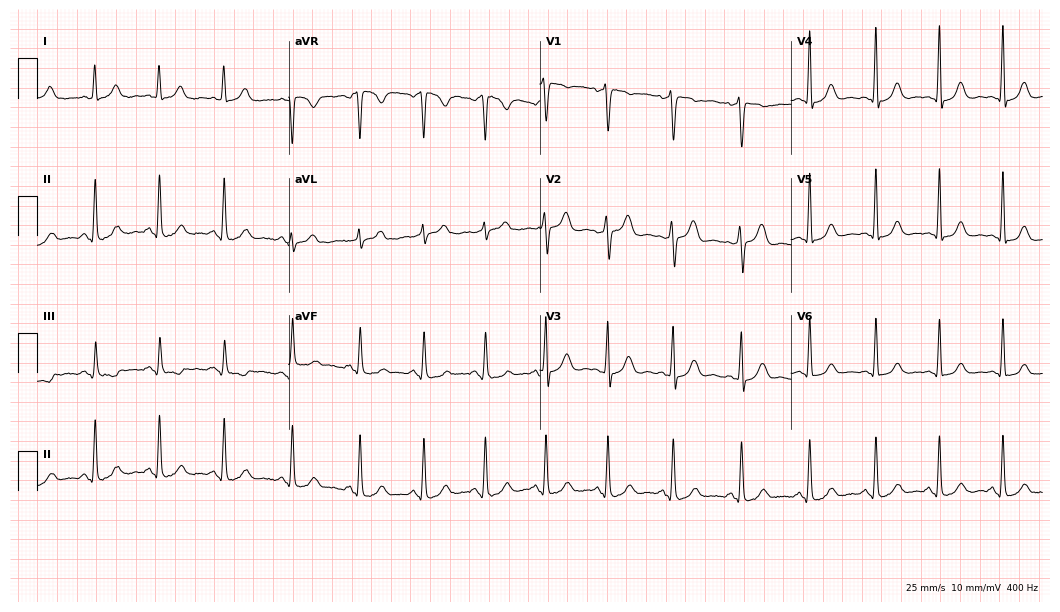
ECG — a 38-year-old female patient. Screened for six findings — first-degree AV block, right bundle branch block, left bundle branch block, sinus bradycardia, atrial fibrillation, sinus tachycardia — none is recorded. Other findings, if any, are not listed.